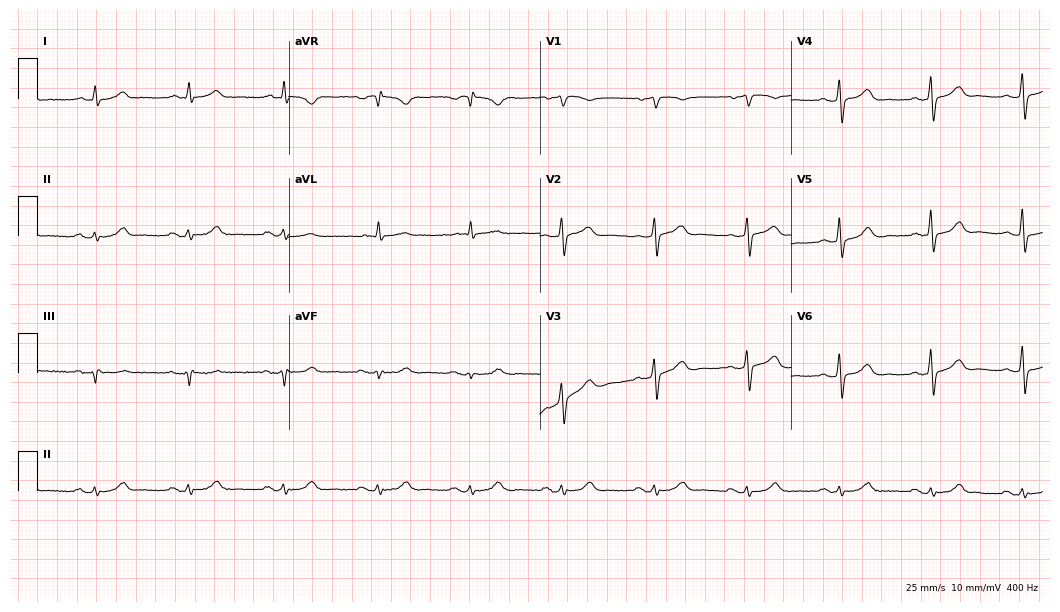
Standard 12-lead ECG recorded from an 82-year-old male patient. Read as a normal ECG.